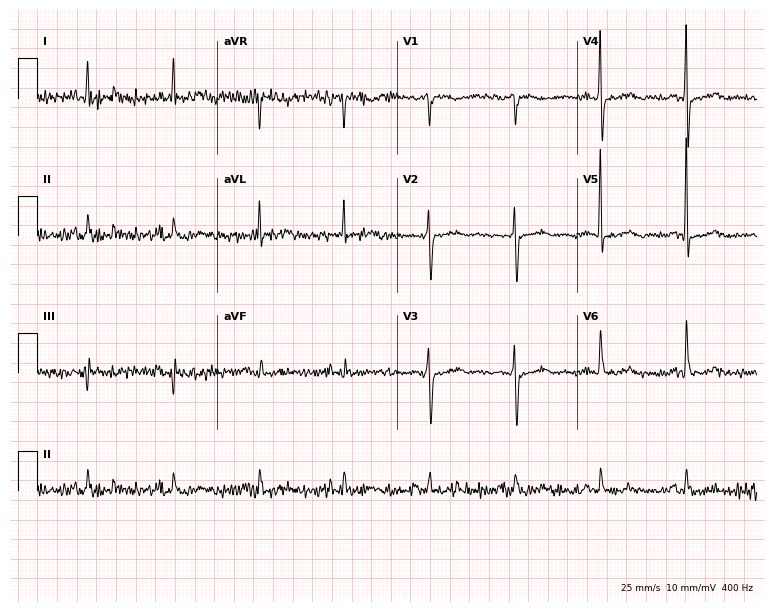
Electrocardiogram, a man, 67 years old. Of the six screened findings (first-degree AV block, right bundle branch block, left bundle branch block, sinus bradycardia, atrial fibrillation, sinus tachycardia), none is recorded. Findings outside these six are not listed.